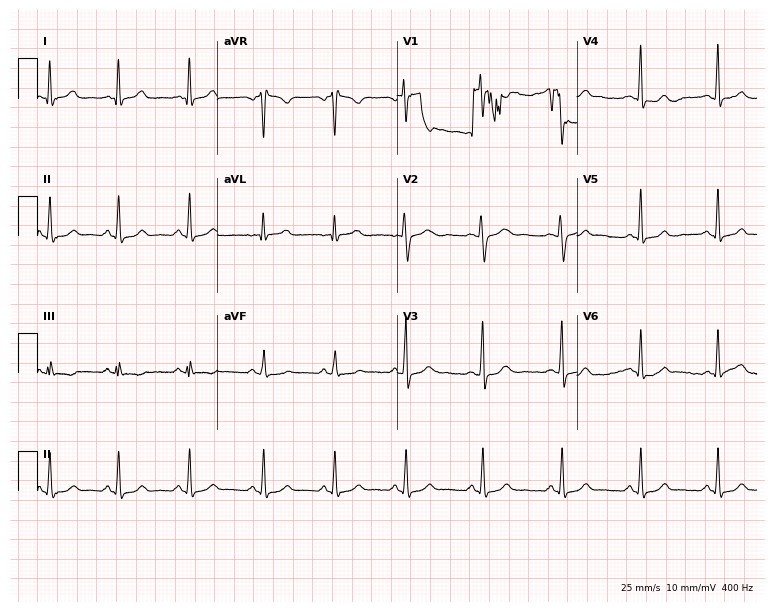
Resting 12-lead electrocardiogram. Patient: a female, 25 years old. Read as a normal ECG.